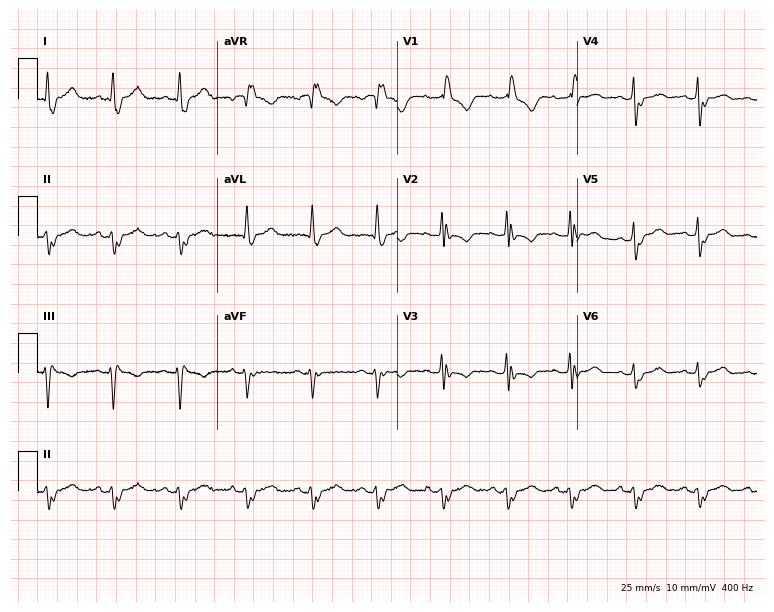
Electrocardiogram (7.3-second recording at 400 Hz), a woman, 54 years old. Interpretation includes right bundle branch block (RBBB).